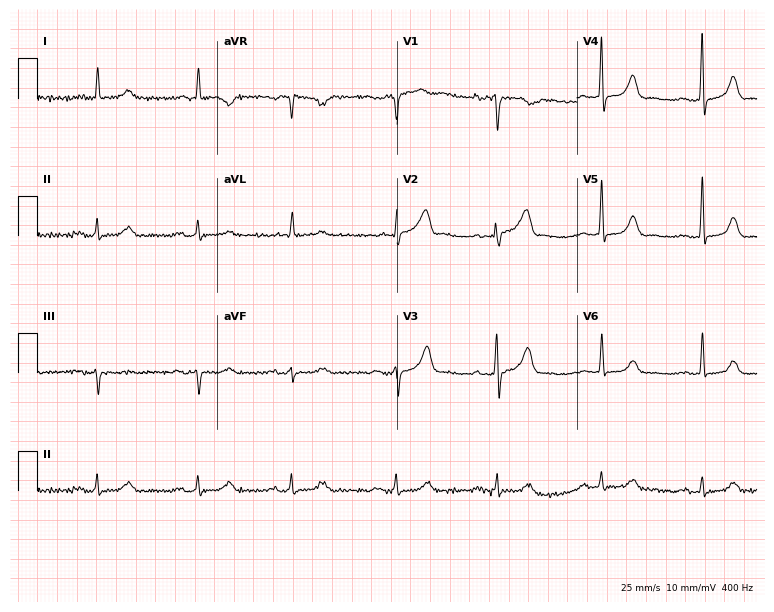
Resting 12-lead electrocardiogram. Patient: a 77-year-old female. The tracing shows first-degree AV block.